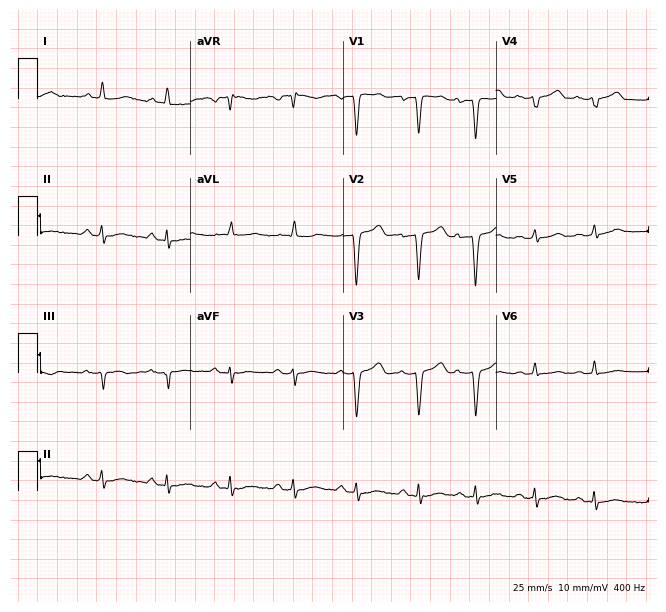
12-lead ECG from a woman, 52 years old. No first-degree AV block, right bundle branch block (RBBB), left bundle branch block (LBBB), sinus bradycardia, atrial fibrillation (AF) or sinus tachycardia recorded for this tracing.